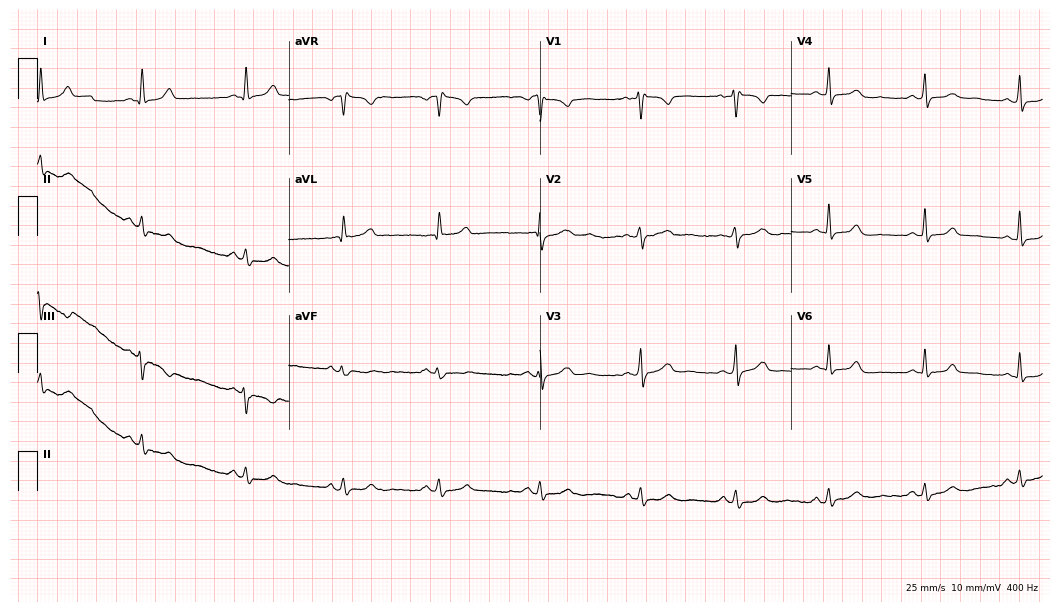
12-lead ECG from a female patient, 39 years old. Labelled as a normal ECG.